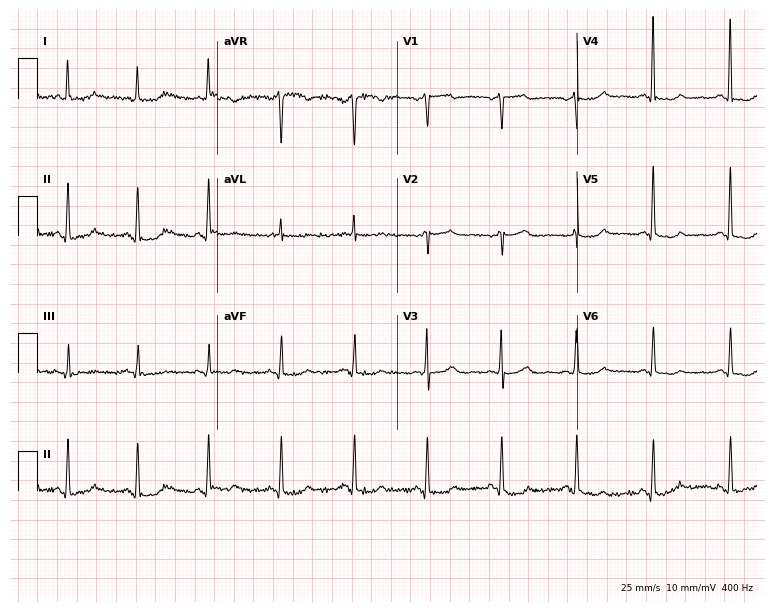
Standard 12-lead ECG recorded from a woman, 55 years old. None of these six findings is recorded: first-degree AV block, right bundle branch block, left bundle branch block, sinus bradycardia, atrial fibrillation, sinus tachycardia. Only these six findings were labelled.